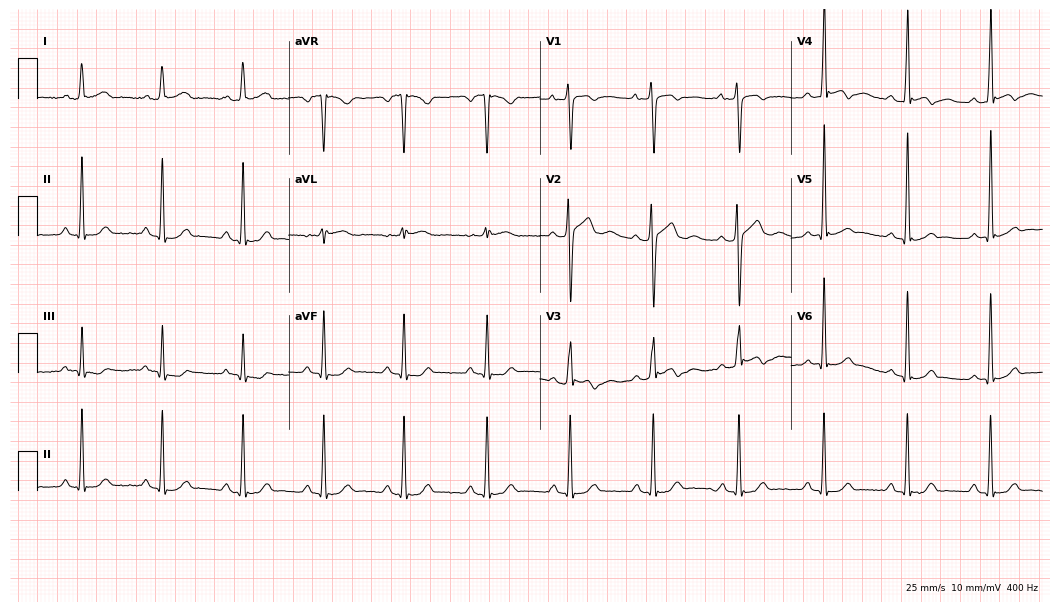
12-lead ECG from a man, 25 years old. No first-degree AV block, right bundle branch block, left bundle branch block, sinus bradycardia, atrial fibrillation or sinus tachycardia recorded for this tracing. Only these six findings were labelled.